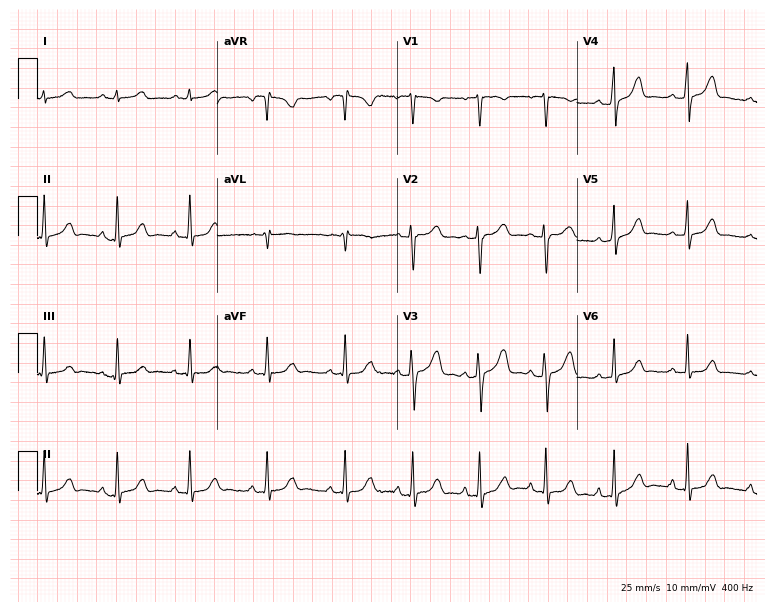
Standard 12-lead ECG recorded from a 17-year-old female. Read as a normal ECG.